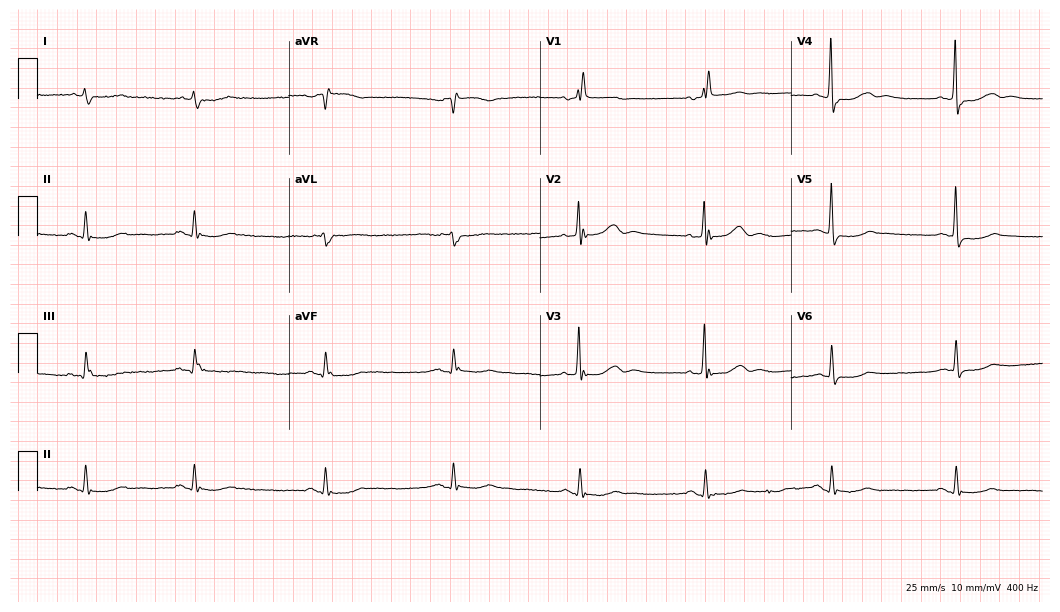
12-lead ECG from a male patient, 81 years old (10.2-second recording at 400 Hz). No first-degree AV block, right bundle branch block, left bundle branch block, sinus bradycardia, atrial fibrillation or sinus tachycardia recorded for this tracing. Other findings, if any, are not listed.